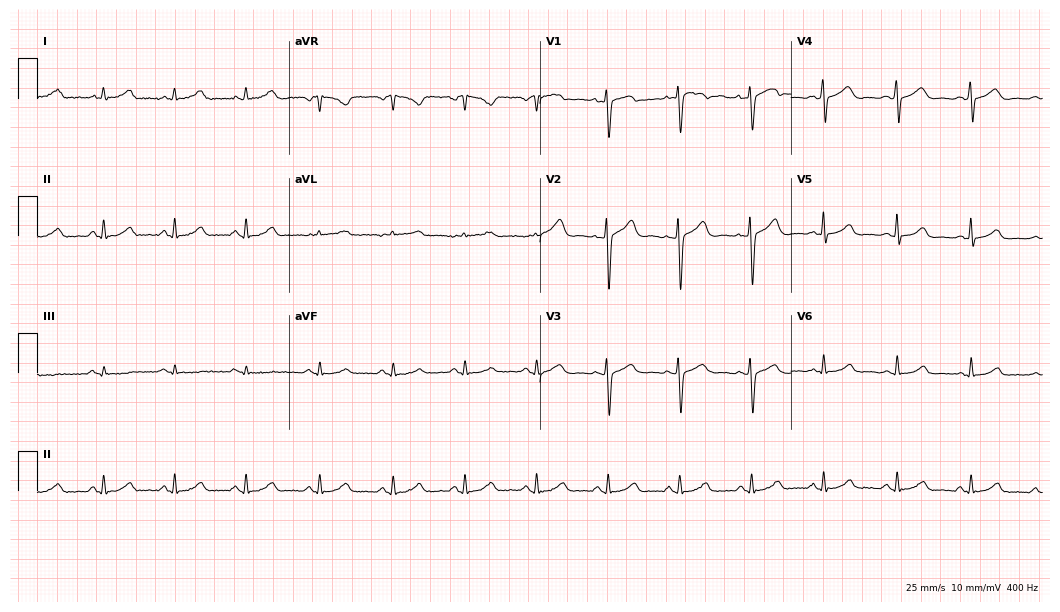
12-lead ECG from a 41-year-old female patient. Recorded interpretation: within normal limits.